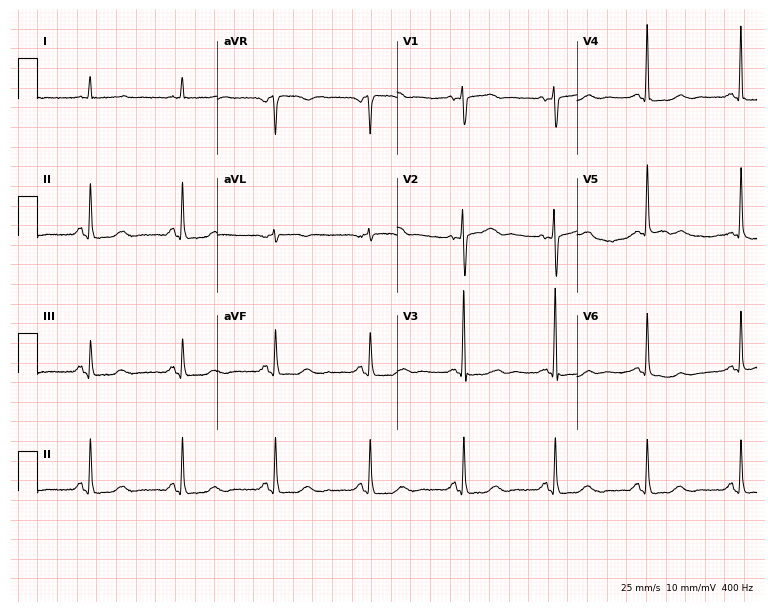
12-lead ECG from a female patient, 62 years old. Recorded interpretation: within normal limits.